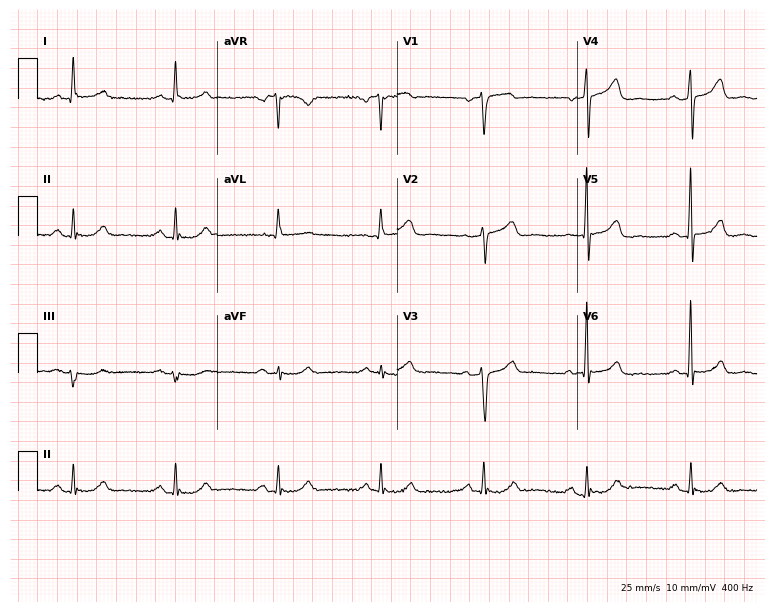
Resting 12-lead electrocardiogram (7.3-second recording at 400 Hz). Patient: a man, 77 years old. Read as a normal ECG.